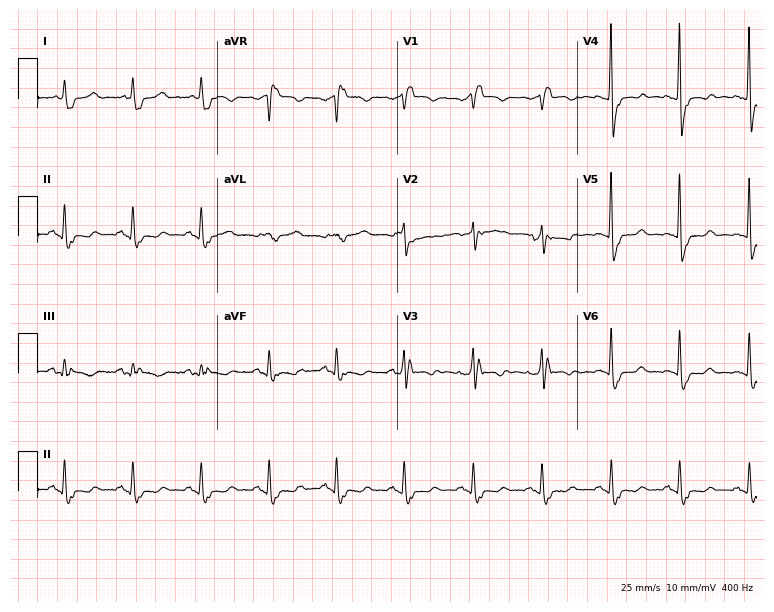
12-lead ECG from a 74-year-old female (7.3-second recording at 400 Hz). Shows right bundle branch block.